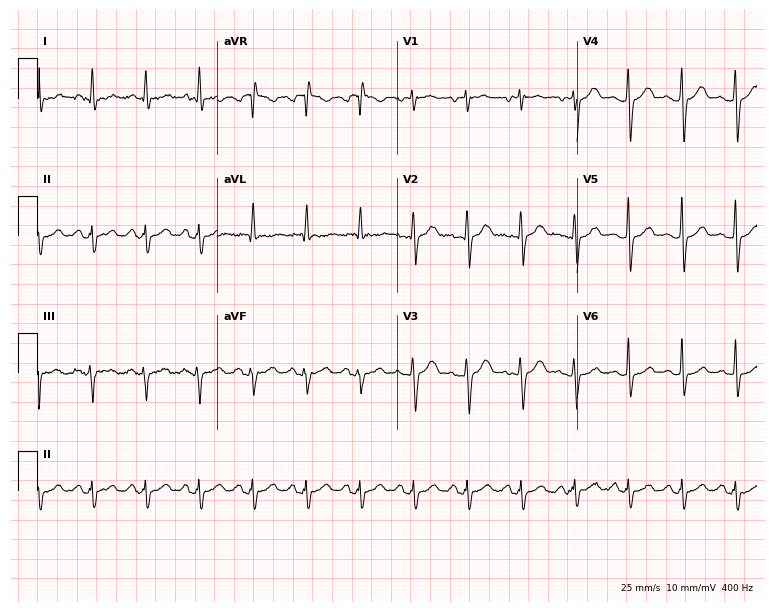
Resting 12-lead electrocardiogram. Patient: a male, 62 years old. None of these six findings is recorded: first-degree AV block, right bundle branch block (RBBB), left bundle branch block (LBBB), sinus bradycardia, atrial fibrillation (AF), sinus tachycardia.